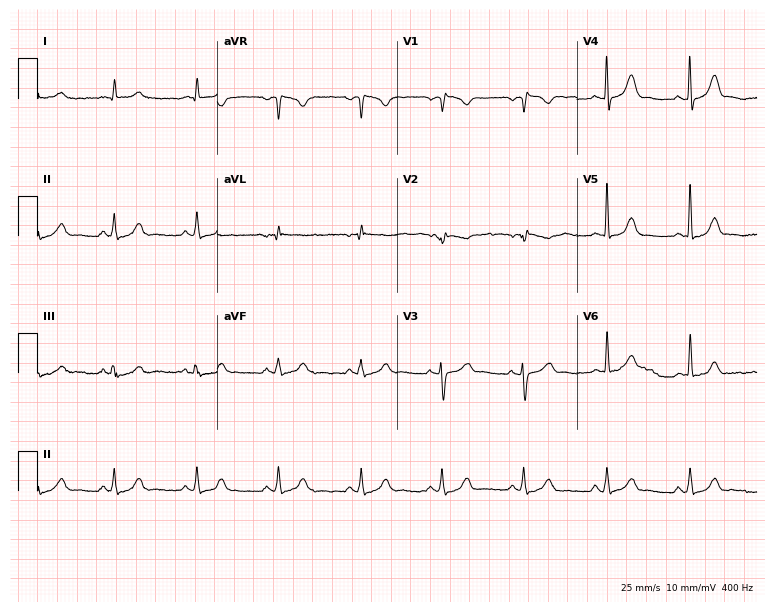
Resting 12-lead electrocardiogram. Patient: a 44-year-old female. None of these six findings is recorded: first-degree AV block, right bundle branch block, left bundle branch block, sinus bradycardia, atrial fibrillation, sinus tachycardia. Findings outside these six are not listed.